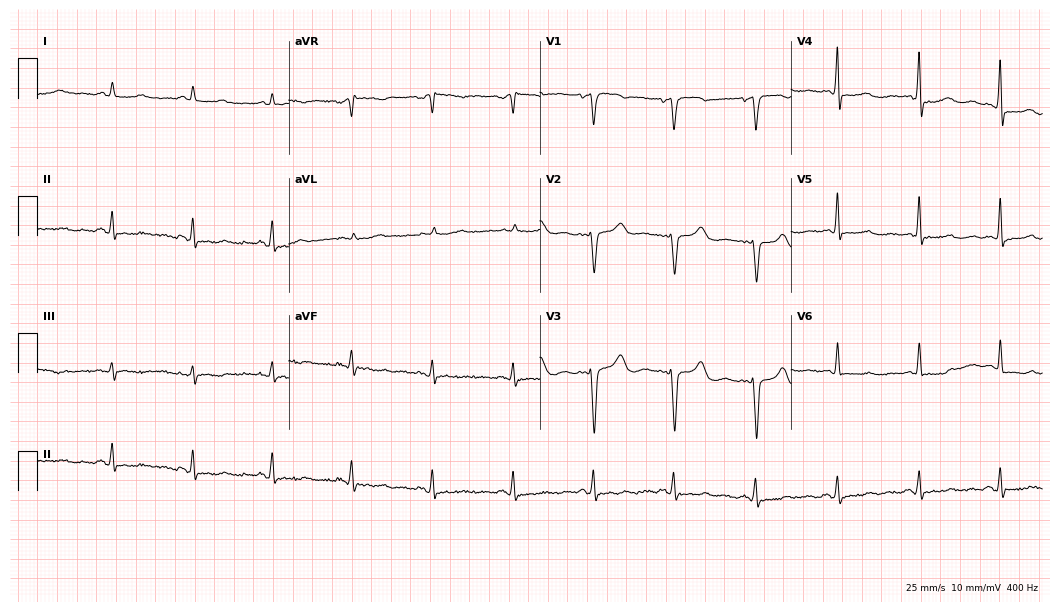
ECG (10.2-second recording at 400 Hz) — a female, 49 years old. Screened for six findings — first-degree AV block, right bundle branch block, left bundle branch block, sinus bradycardia, atrial fibrillation, sinus tachycardia — none is recorded. Findings outside these six are not listed.